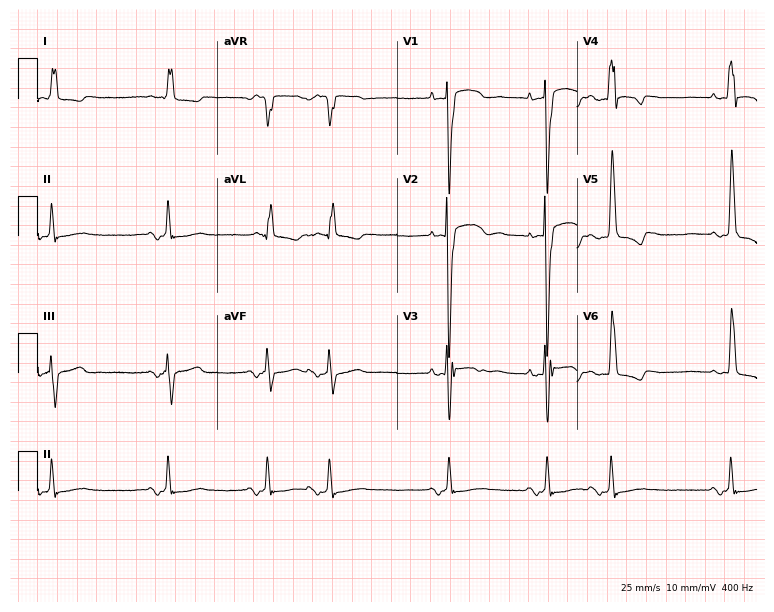
Electrocardiogram (7.3-second recording at 400 Hz), a 78-year-old male. Of the six screened findings (first-degree AV block, right bundle branch block (RBBB), left bundle branch block (LBBB), sinus bradycardia, atrial fibrillation (AF), sinus tachycardia), none is recorded.